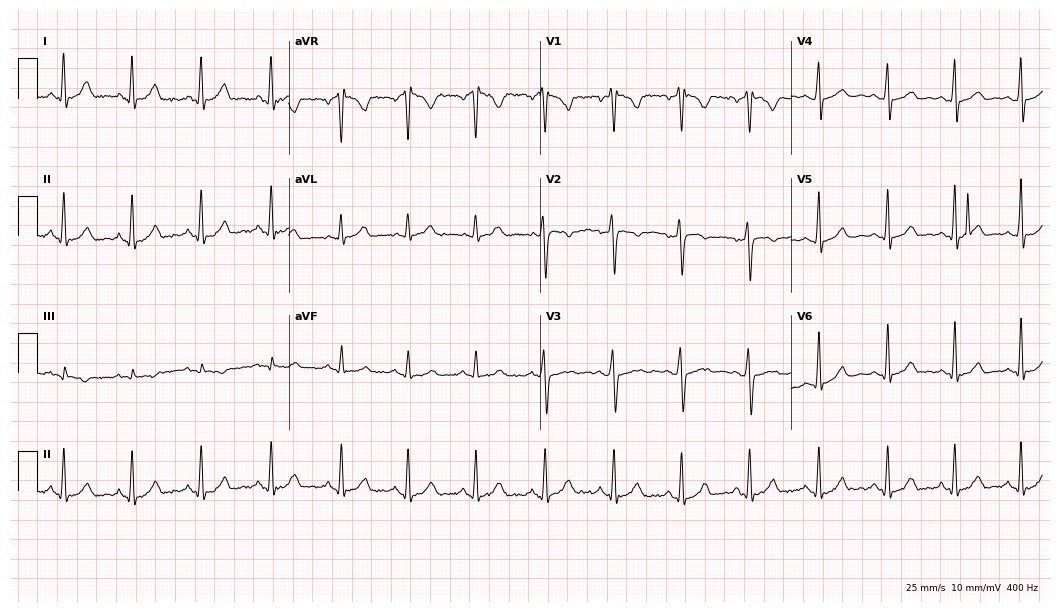
Electrocardiogram, a 27-year-old female patient. Of the six screened findings (first-degree AV block, right bundle branch block, left bundle branch block, sinus bradycardia, atrial fibrillation, sinus tachycardia), none is recorded.